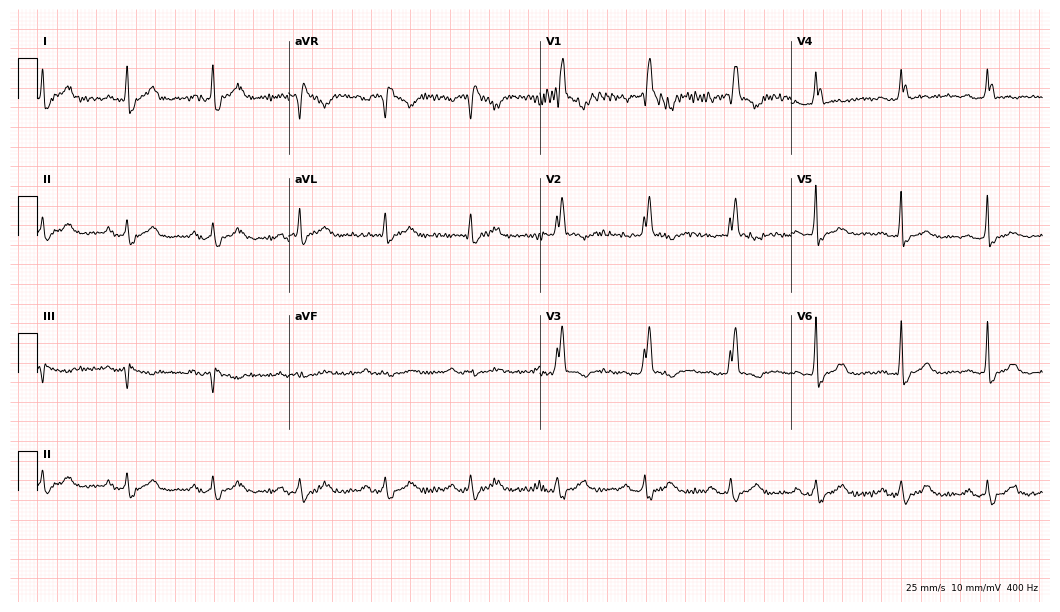
Electrocardiogram (10.2-second recording at 400 Hz), a male patient, 56 years old. Interpretation includes right bundle branch block (RBBB).